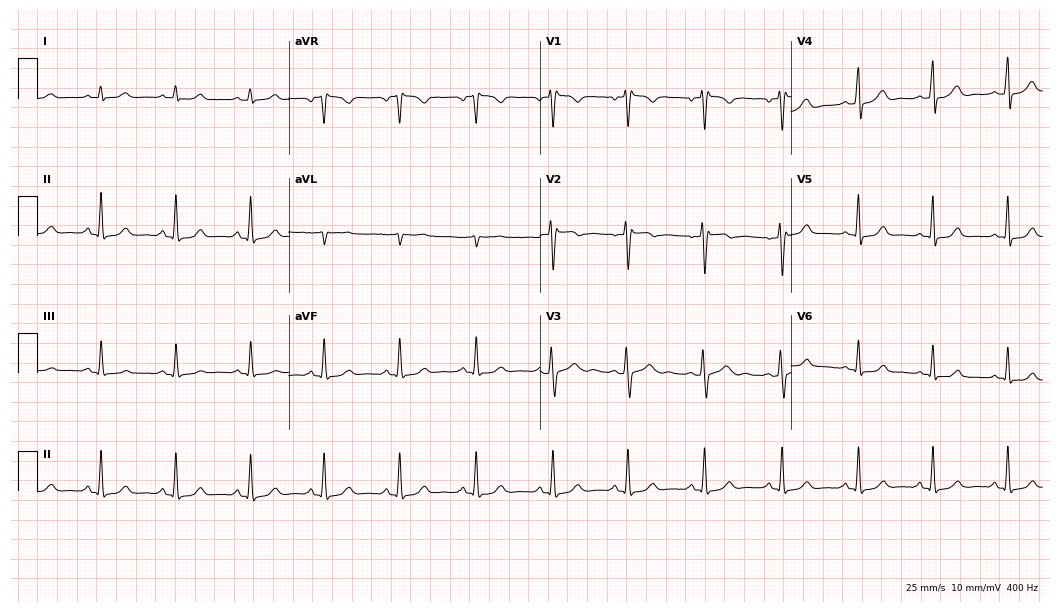
ECG (10.2-second recording at 400 Hz) — a female patient, 44 years old. Screened for six findings — first-degree AV block, right bundle branch block, left bundle branch block, sinus bradycardia, atrial fibrillation, sinus tachycardia — none is recorded.